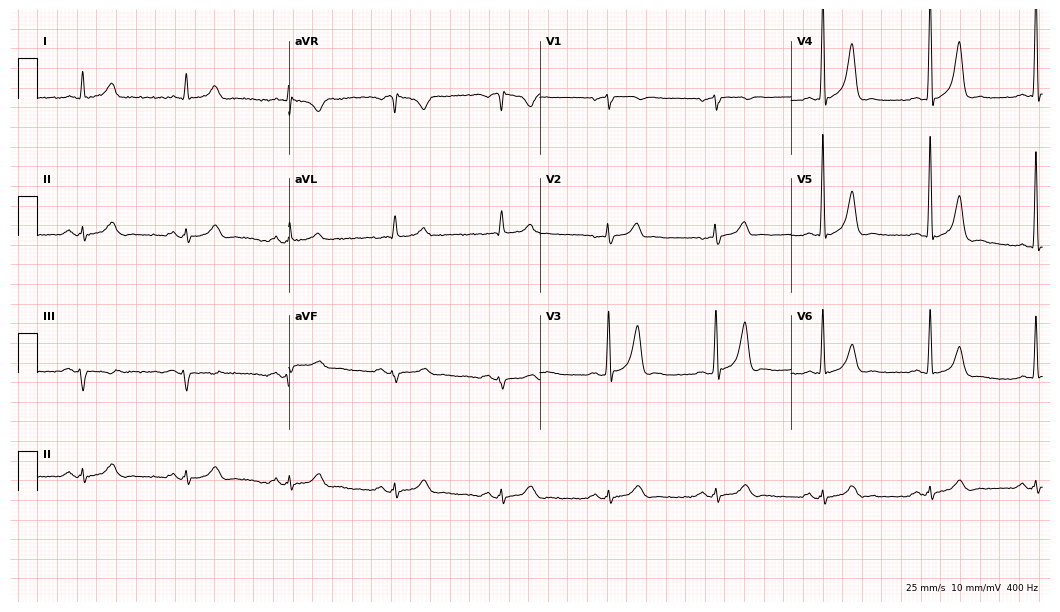
ECG (10.2-second recording at 400 Hz) — a male patient, 70 years old. Labelled as a normal ECG.